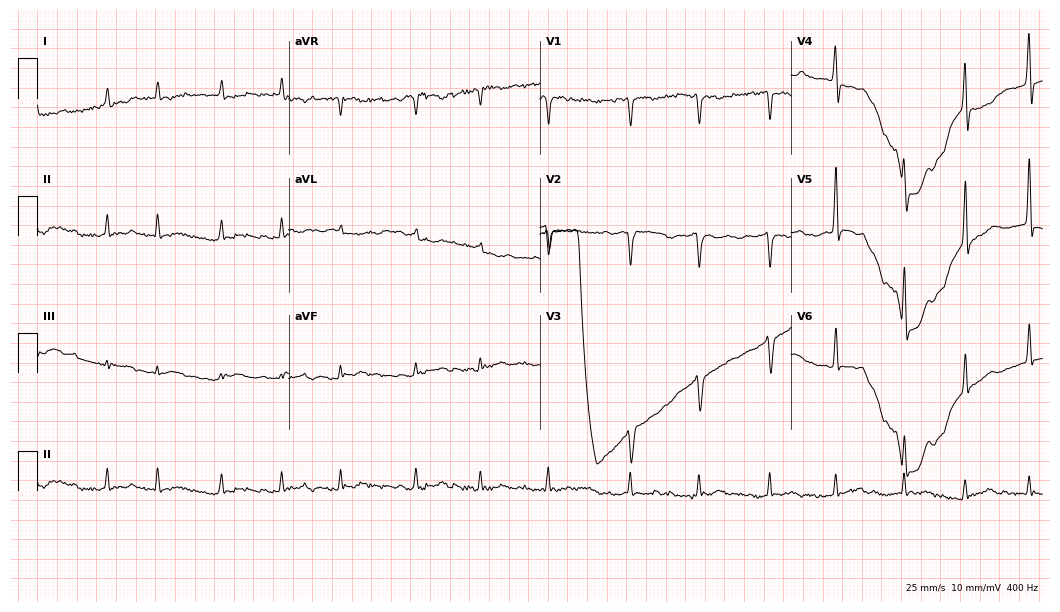
Standard 12-lead ECG recorded from an 80-year-old male (10.2-second recording at 400 Hz). None of these six findings is recorded: first-degree AV block, right bundle branch block, left bundle branch block, sinus bradycardia, atrial fibrillation, sinus tachycardia. Only these six findings were labelled.